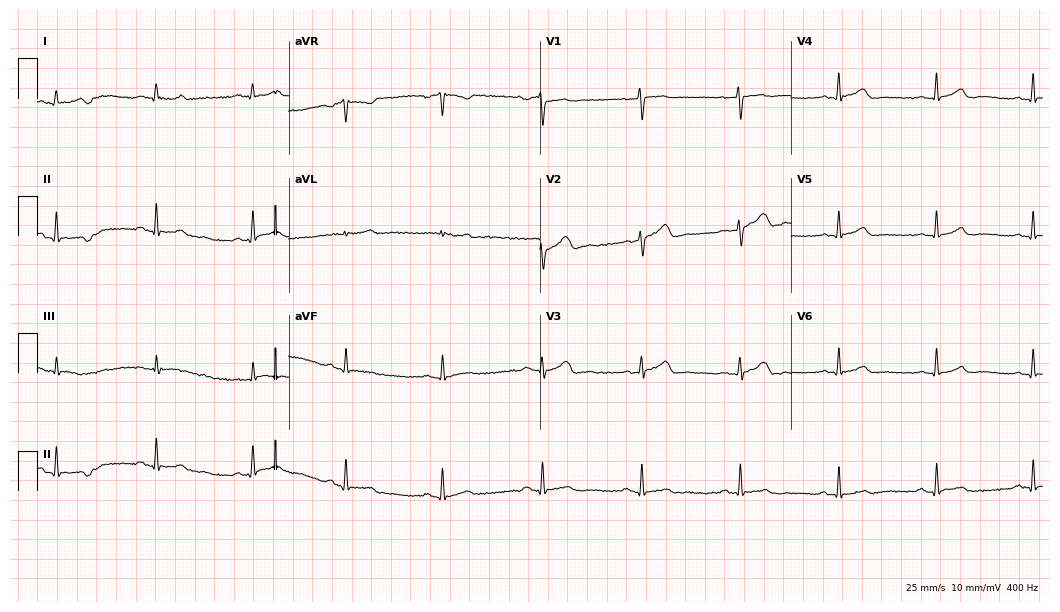
12-lead ECG from a female patient, 26 years old. Labelled as a normal ECG.